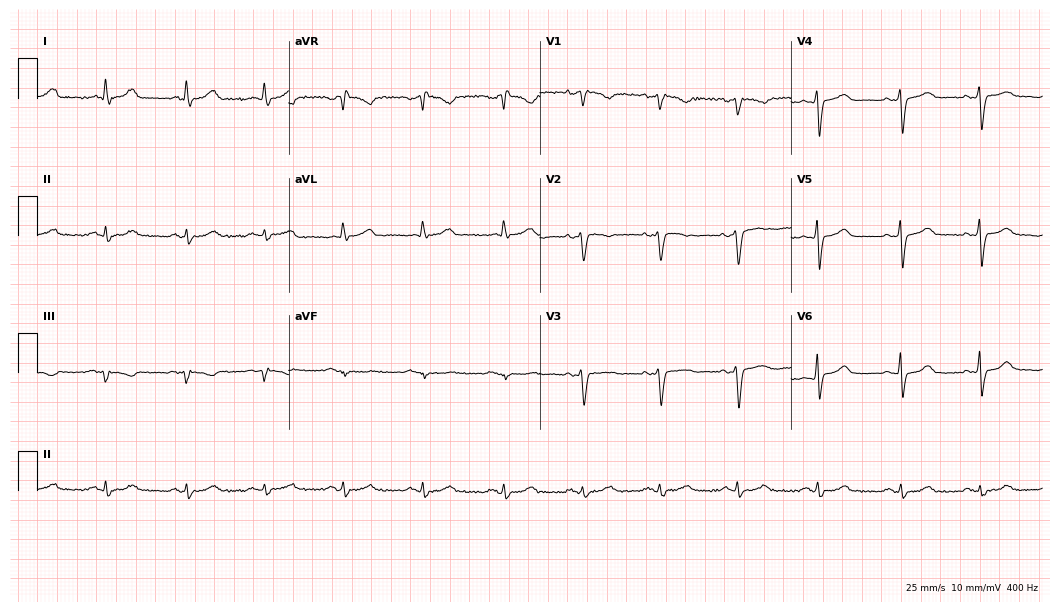
12-lead ECG from a 46-year-old female. No first-degree AV block, right bundle branch block (RBBB), left bundle branch block (LBBB), sinus bradycardia, atrial fibrillation (AF) or sinus tachycardia recorded for this tracing.